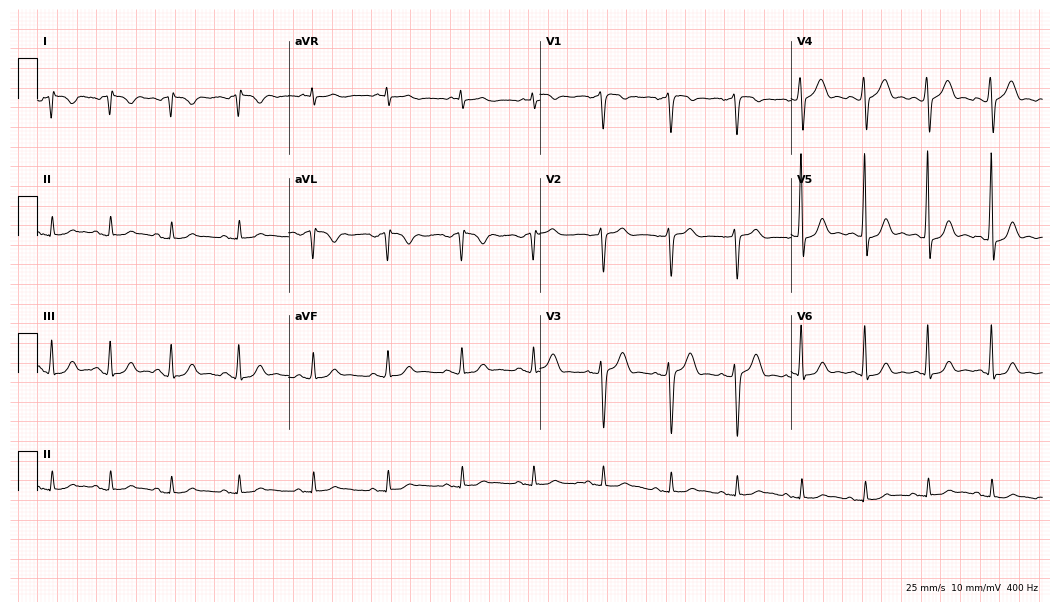
Electrocardiogram, a man, 35 years old. Of the six screened findings (first-degree AV block, right bundle branch block, left bundle branch block, sinus bradycardia, atrial fibrillation, sinus tachycardia), none is recorded.